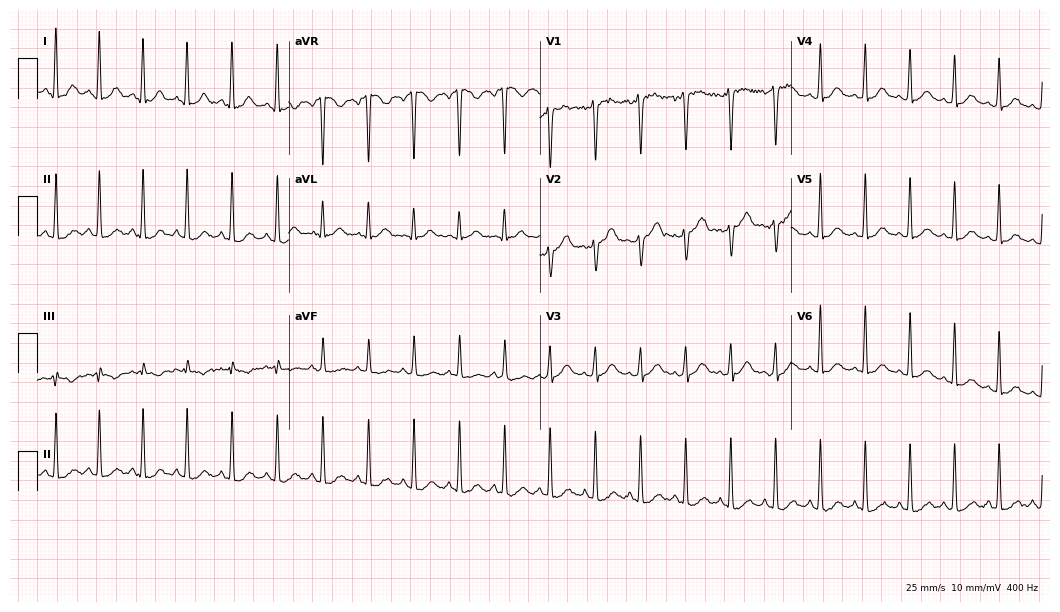
12-lead ECG from a female patient, 37 years old (10.2-second recording at 400 Hz). Shows sinus tachycardia (a sinus rate of 100 beats per minute or more).